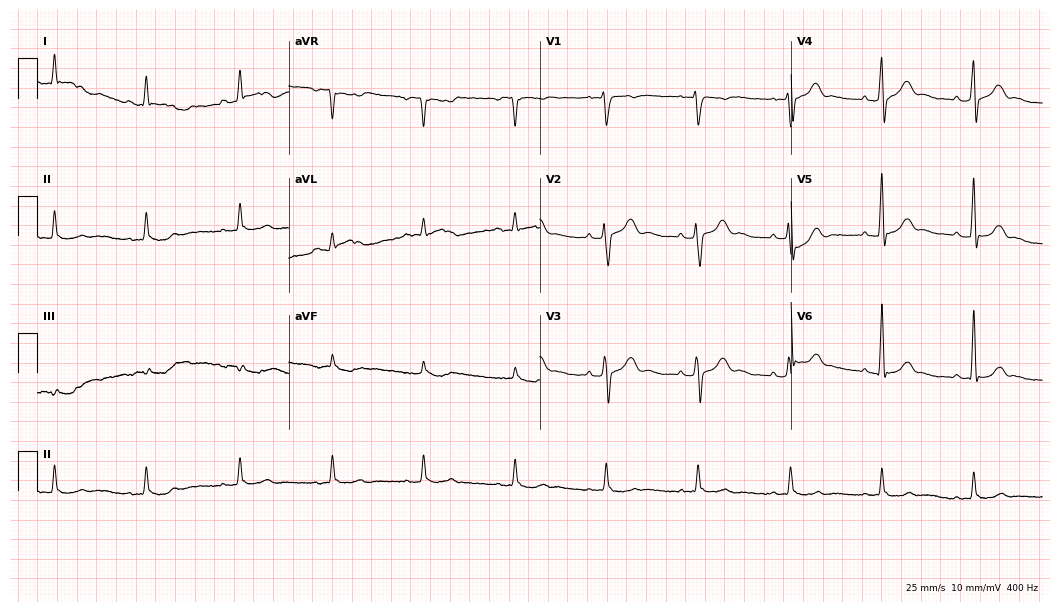
Electrocardiogram (10.2-second recording at 400 Hz), a 42-year-old male. Overall reading on record: normal ECG.